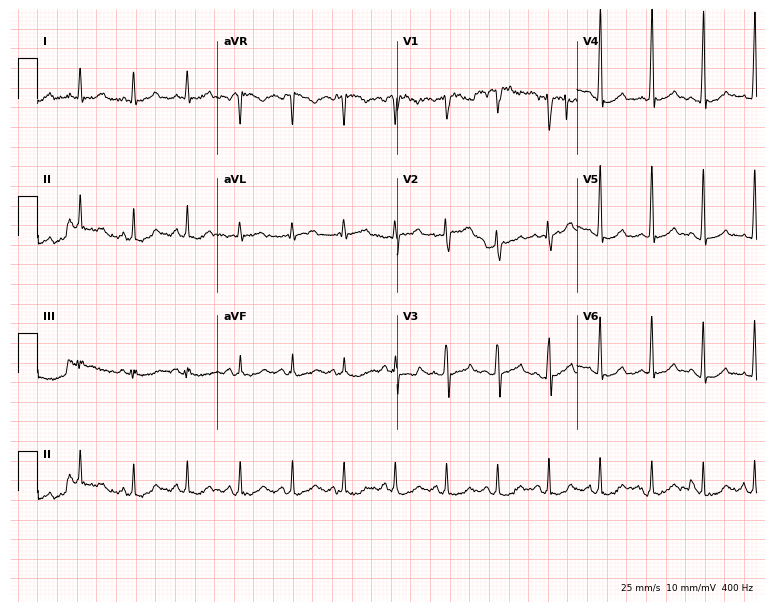
Resting 12-lead electrocardiogram (7.3-second recording at 400 Hz). Patient: a 31-year-old male. None of these six findings is recorded: first-degree AV block, right bundle branch block (RBBB), left bundle branch block (LBBB), sinus bradycardia, atrial fibrillation (AF), sinus tachycardia. Only these six findings were labelled.